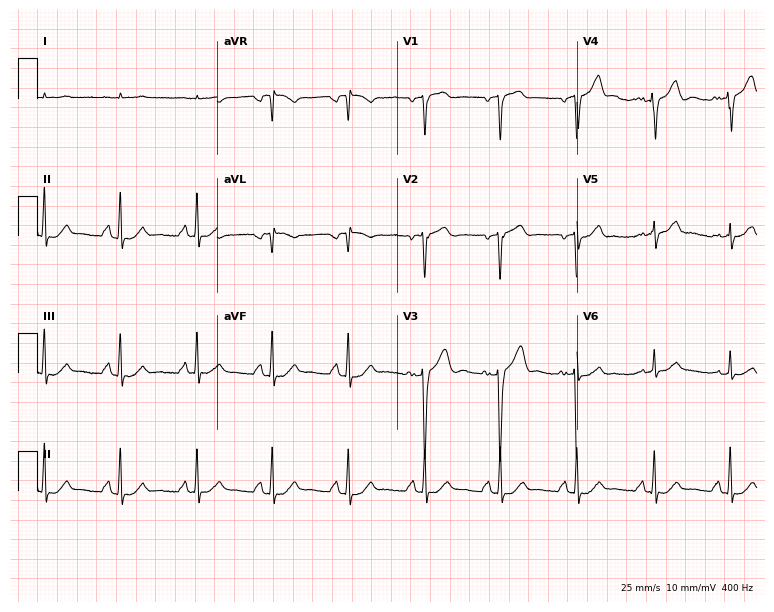
ECG — a male patient, 85 years old. Screened for six findings — first-degree AV block, right bundle branch block, left bundle branch block, sinus bradycardia, atrial fibrillation, sinus tachycardia — none is recorded. Findings outside these six are not listed.